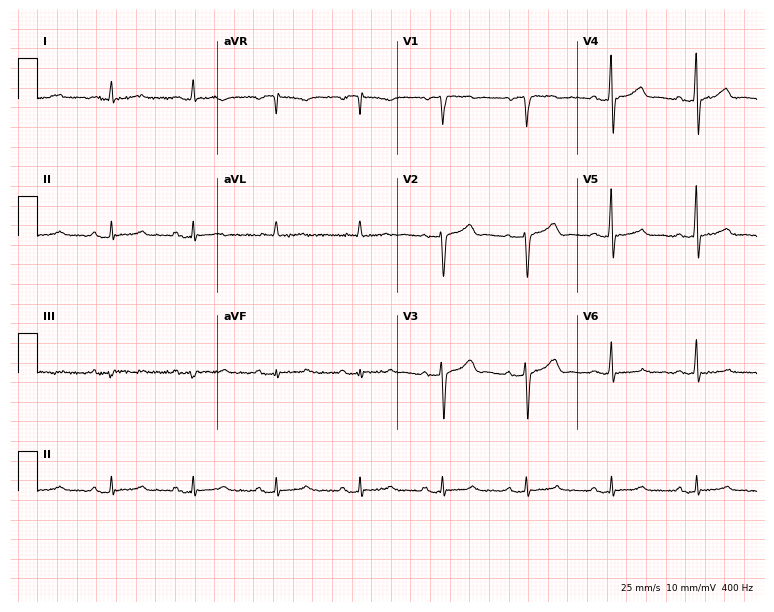
Electrocardiogram, a male, 77 years old. Of the six screened findings (first-degree AV block, right bundle branch block (RBBB), left bundle branch block (LBBB), sinus bradycardia, atrial fibrillation (AF), sinus tachycardia), none is recorded. Only these six findings were labelled.